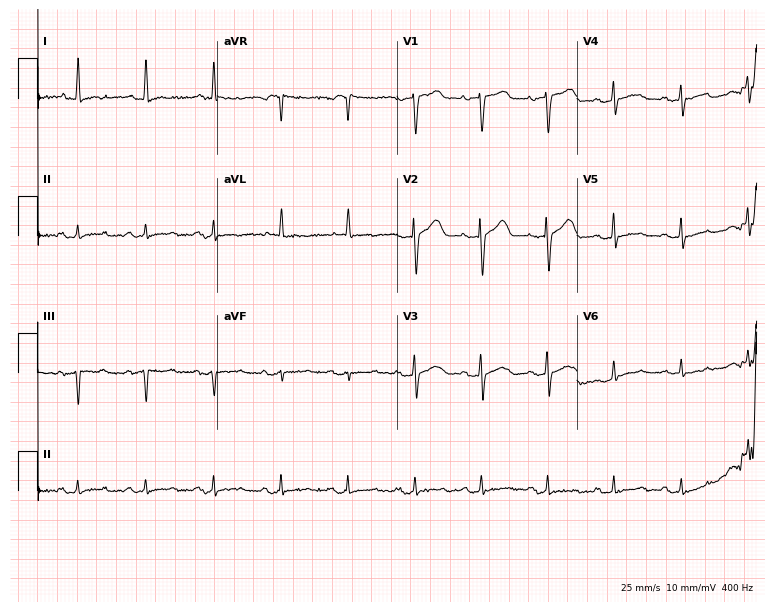
Standard 12-lead ECG recorded from a male patient, 89 years old (7.3-second recording at 400 Hz). None of these six findings is recorded: first-degree AV block, right bundle branch block, left bundle branch block, sinus bradycardia, atrial fibrillation, sinus tachycardia.